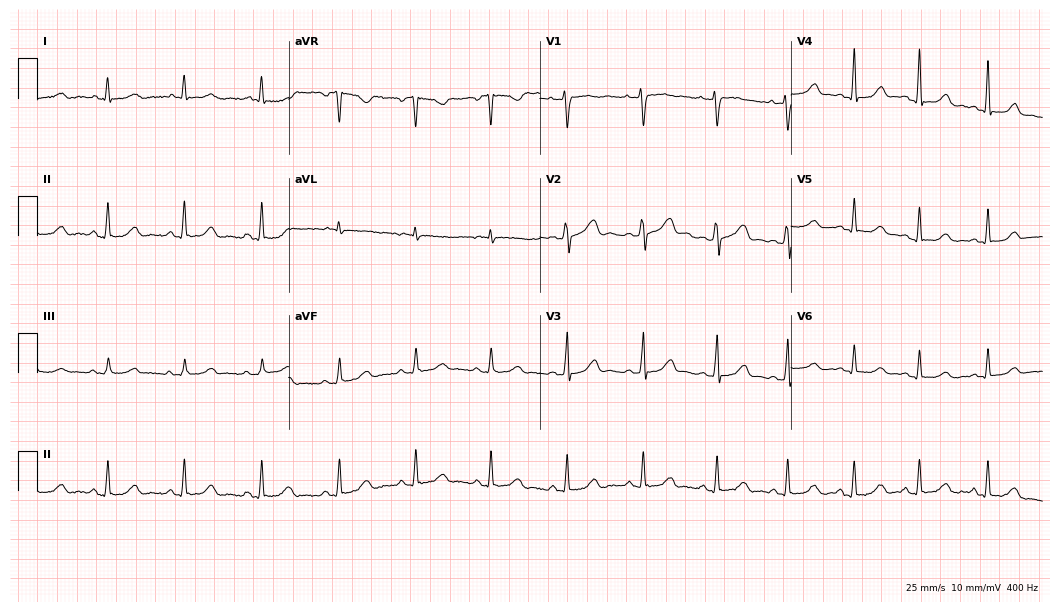
12-lead ECG from a 39-year-old female patient (10.2-second recording at 400 Hz). No first-degree AV block, right bundle branch block, left bundle branch block, sinus bradycardia, atrial fibrillation or sinus tachycardia recorded for this tracing. Findings outside these six are not listed.